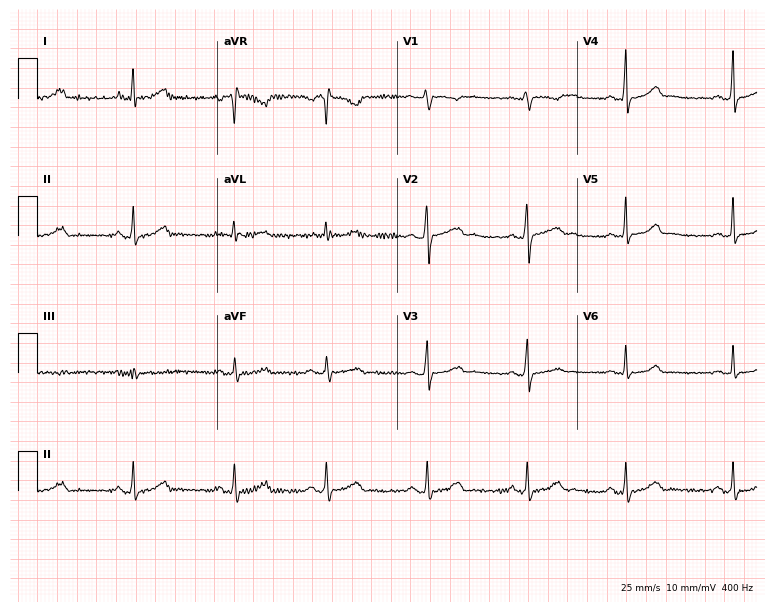
Resting 12-lead electrocardiogram. Patient: a 26-year-old female. Read as a normal ECG.